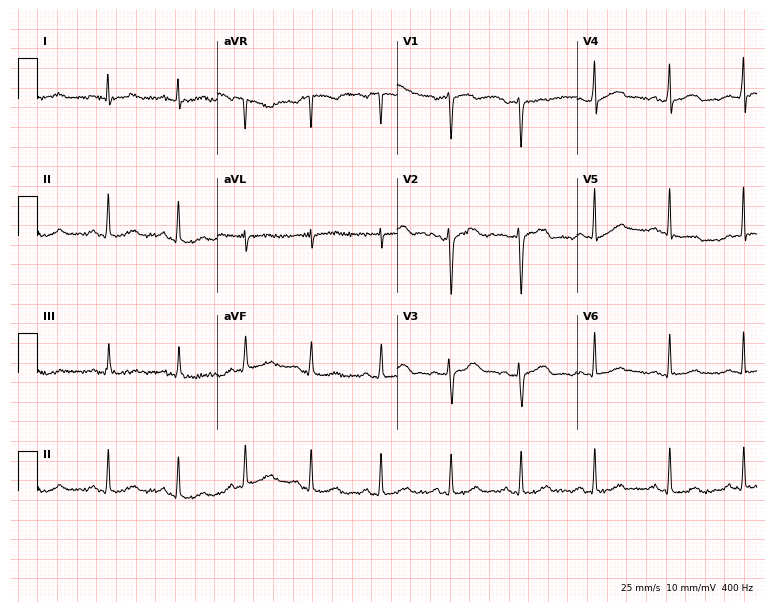
Electrocardiogram (7.3-second recording at 400 Hz), a 42-year-old male. Of the six screened findings (first-degree AV block, right bundle branch block, left bundle branch block, sinus bradycardia, atrial fibrillation, sinus tachycardia), none is recorded. Only these six findings were labelled.